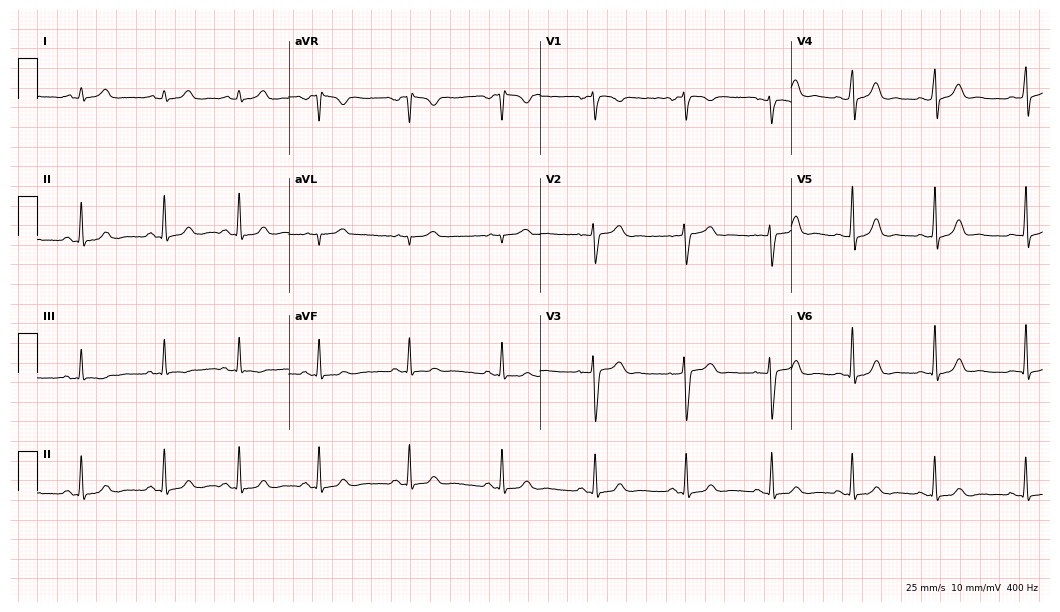
Standard 12-lead ECG recorded from a 31-year-old woman. Read as a normal ECG.